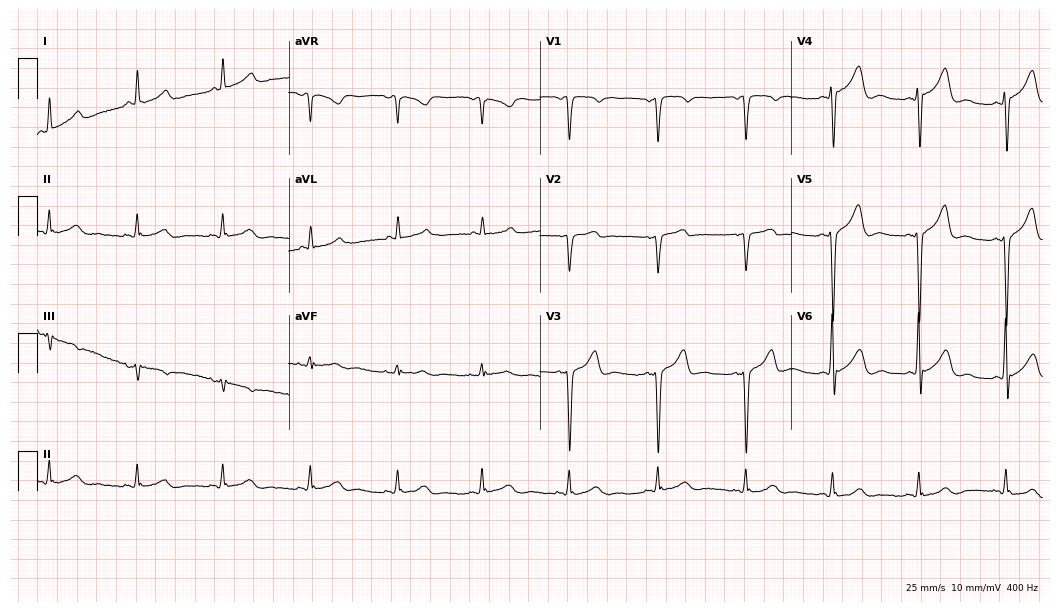
ECG (10.2-second recording at 400 Hz) — a 54-year-old male. Screened for six findings — first-degree AV block, right bundle branch block (RBBB), left bundle branch block (LBBB), sinus bradycardia, atrial fibrillation (AF), sinus tachycardia — none is recorded.